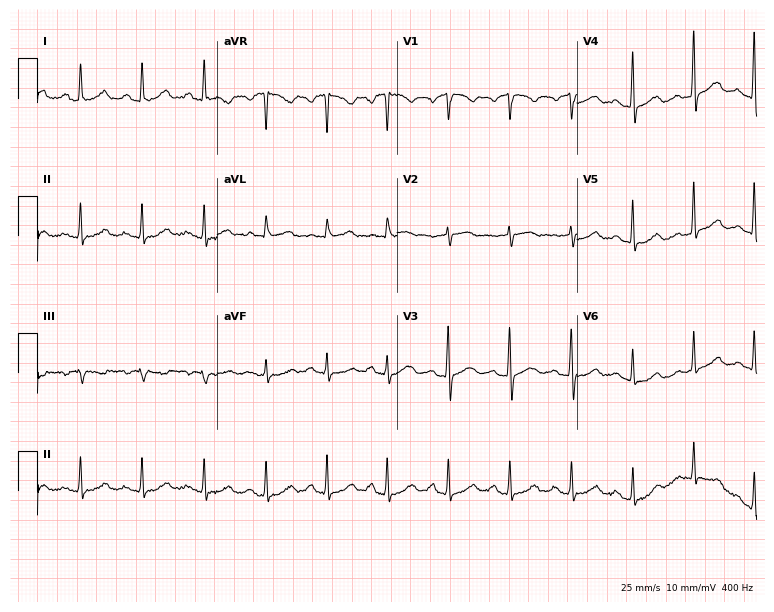
Standard 12-lead ECG recorded from a female, 66 years old. None of these six findings is recorded: first-degree AV block, right bundle branch block, left bundle branch block, sinus bradycardia, atrial fibrillation, sinus tachycardia.